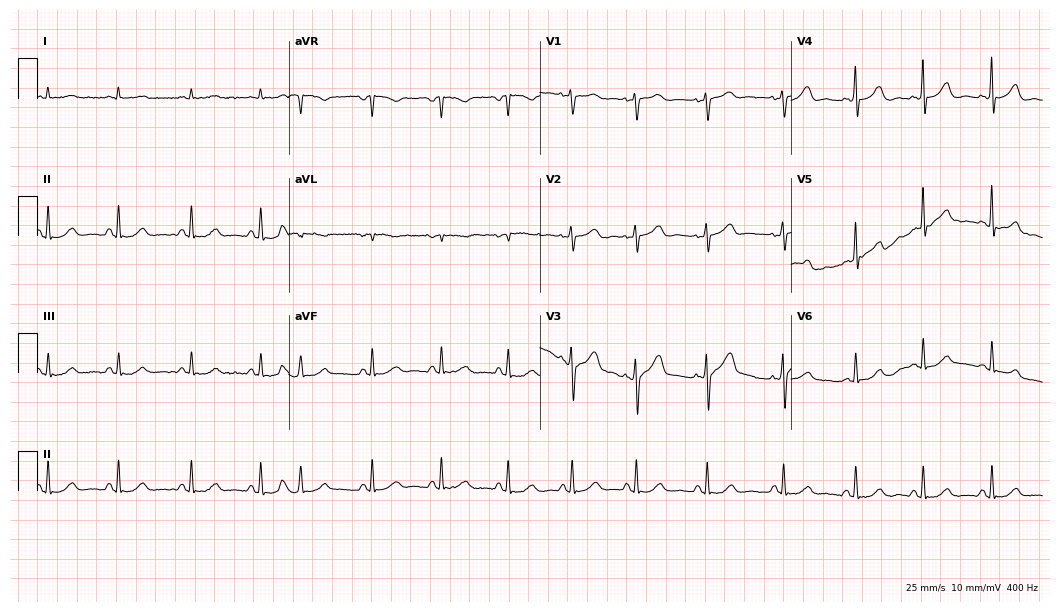
12-lead ECG from a woman, 47 years old. Screened for six findings — first-degree AV block, right bundle branch block, left bundle branch block, sinus bradycardia, atrial fibrillation, sinus tachycardia — none is recorded.